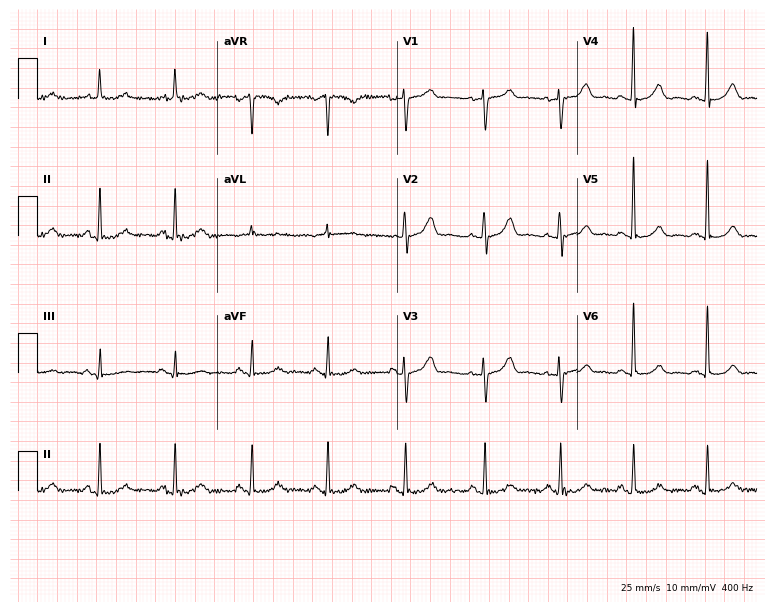
12-lead ECG from a 78-year-old woman. Recorded interpretation: within normal limits.